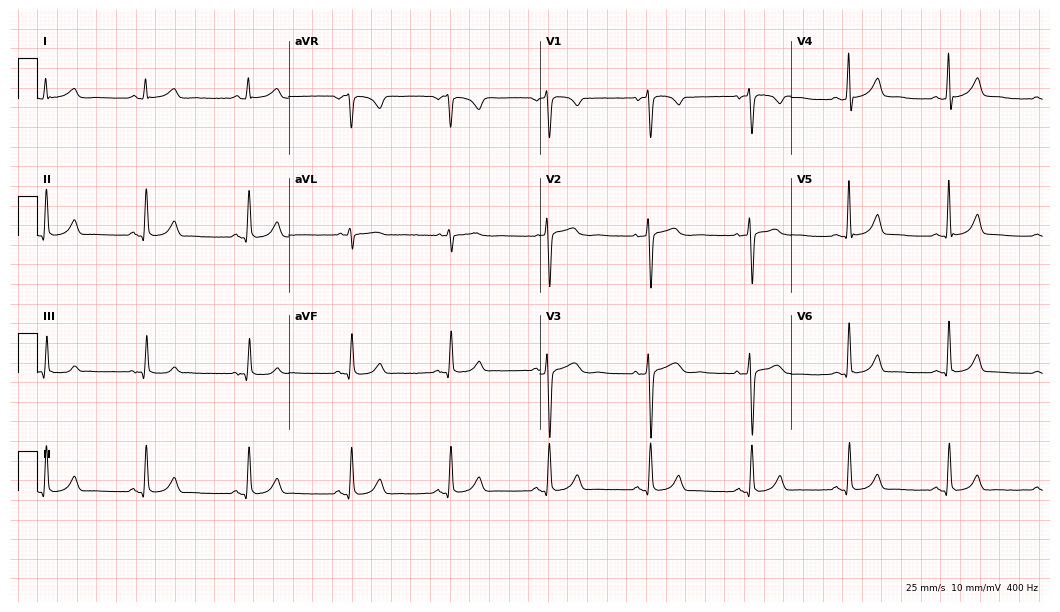
ECG — a 43-year-old female. Screened for six findings — first-degree AV block, right bundle branch block, left bundle branch block, sinus bradycardia, atrial fibrillation, sinus tachycardia — none is recorded.